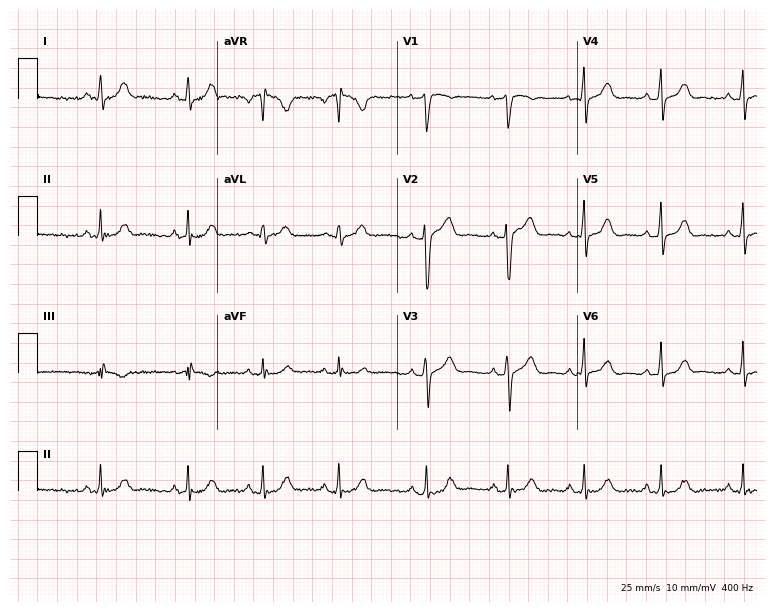
12-lead ECG from a female patient, 25 years old. Recorded interpretation: within normal limits.